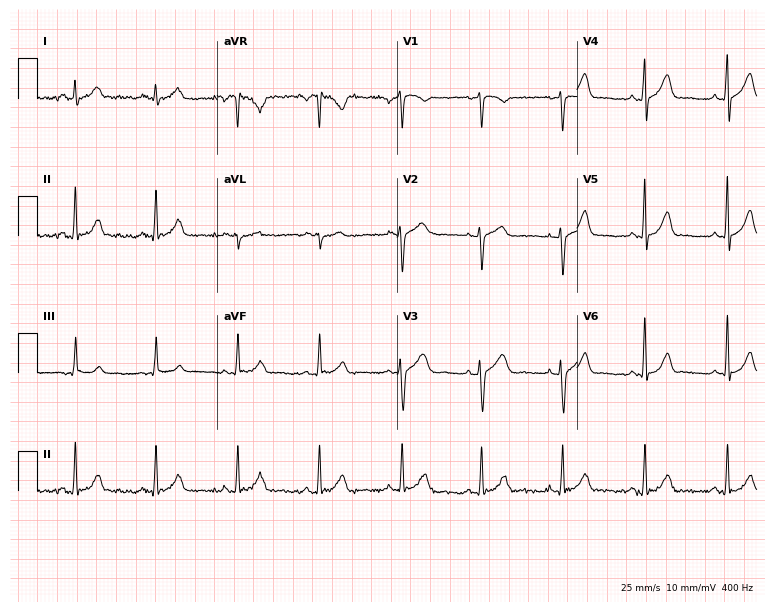
ECG — a 40-year-old female patient. Labelled as a normal ECG.